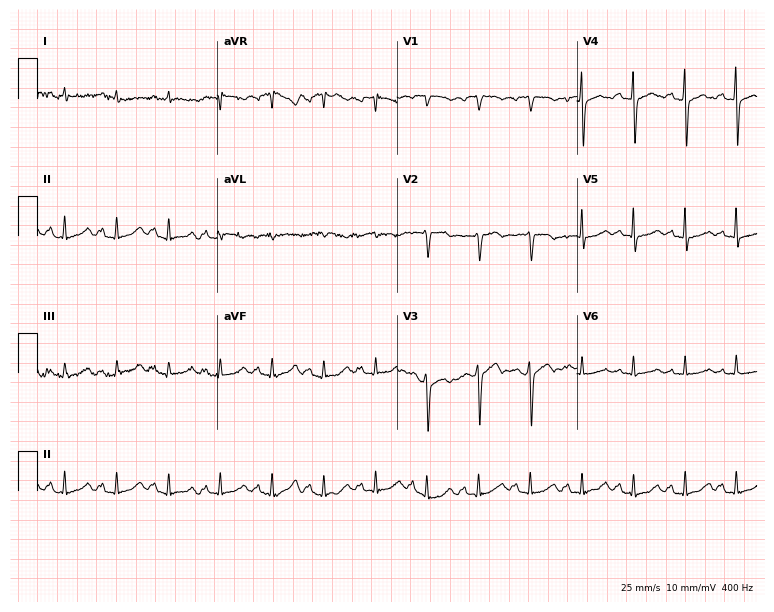
Standard 12-lead ECG recorded from an 84-year-old woman (7.3-second recording at 400 Hz). The tracing shows sinus tachycardia (a sinus rate of 100 beats per minute or more).